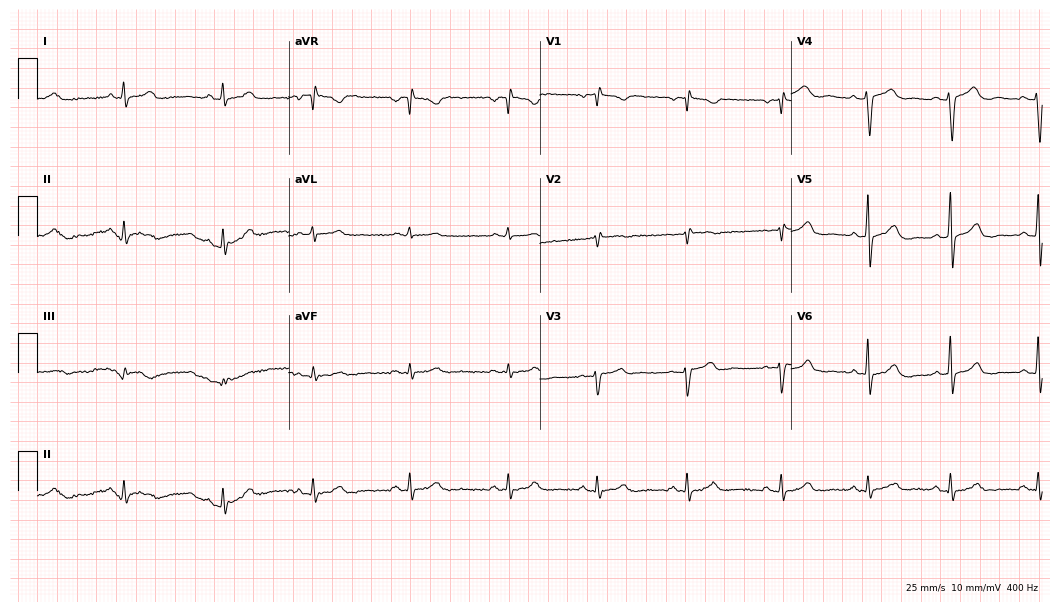
ECG (10.2-second recording at 400 Hz) — a 34-year-old female patient. Screened for six findings — first-degree AV block, right bundle branch block, left bundle branch block, sinus bradycardia, atrial fibrillation, sinus tachycardia — none is recorded.